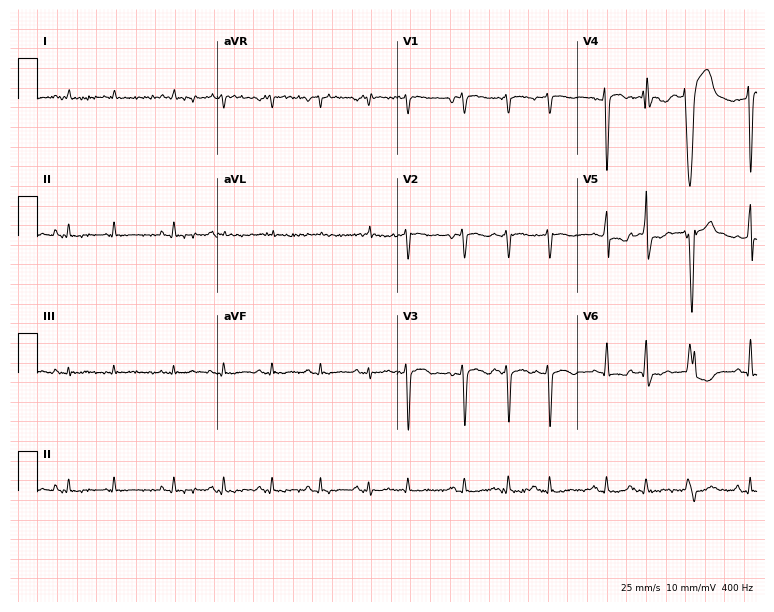
Resting 12-lead electrocardiogram (7.3-second recording at 400 Hz). Patient: a male, 77 years old. None of these six findings is recorded: first-degree AV block, right bundle branch block, left bundle branch block, sinus bradycardia, atrial fibrillation, sinus tachycardia. Findings outside these six are not listed.